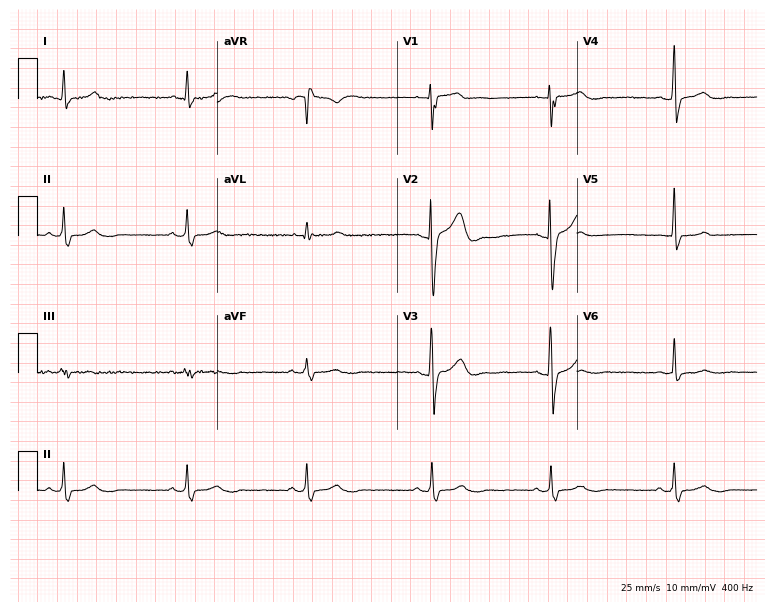
12-lead ECG from a 27-year-old male (7.3-second recording at 400 Hz). Shows sinus bradycardia (a sinus rate of 50 beats per minute or less).